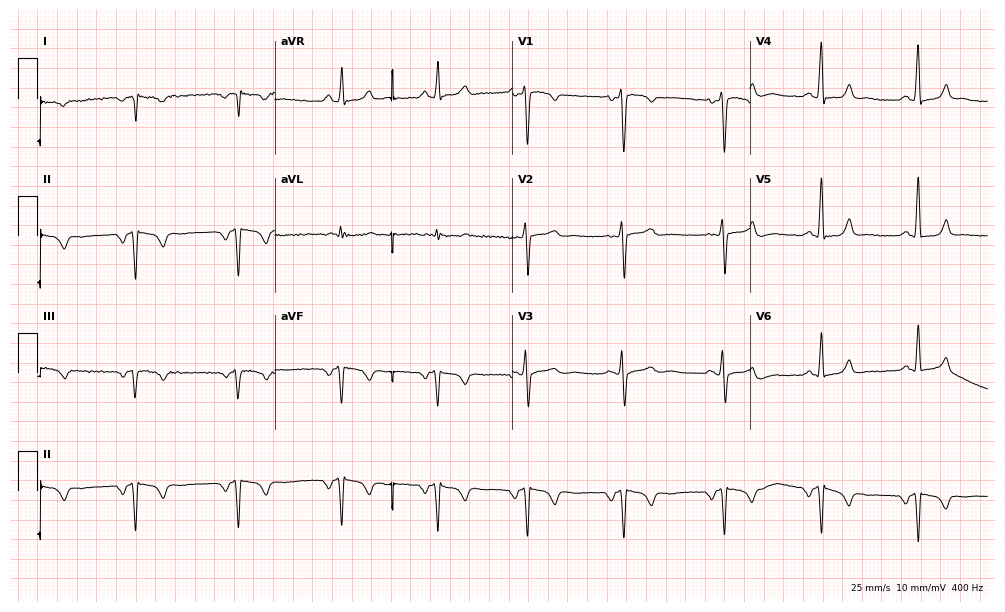
Electrocardiogram (9.7-second recording at 400 Hz), a 40-year-old female patient. Of the six screened findings (first-degree AV block, right bundle branch block, left bundle branch block, sinus bradycardia, atrial fibrillation, sinus tachycardia), none is recorded. Findings outside these six are not listed.